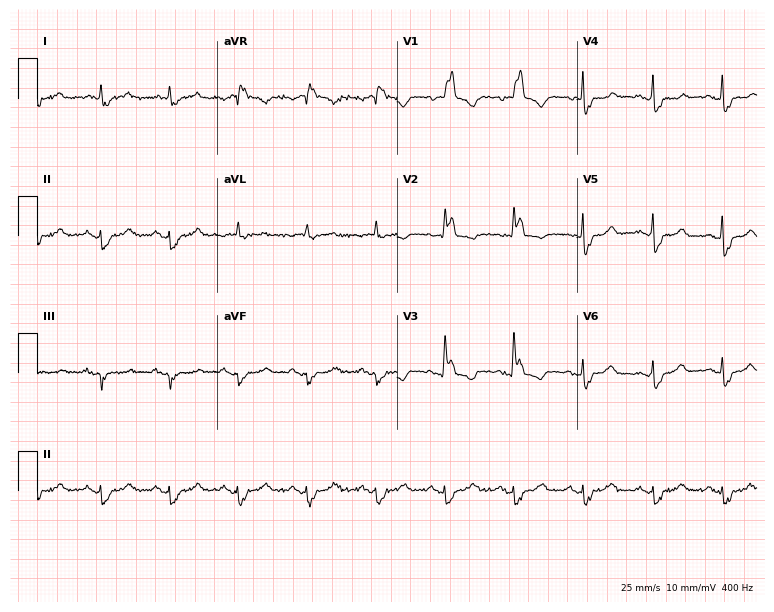
Standard 12-lead ECG recorded from a female patient, 84 years old (7.3-second recording at 400 Hz). The tracing shows right bundle branch block.